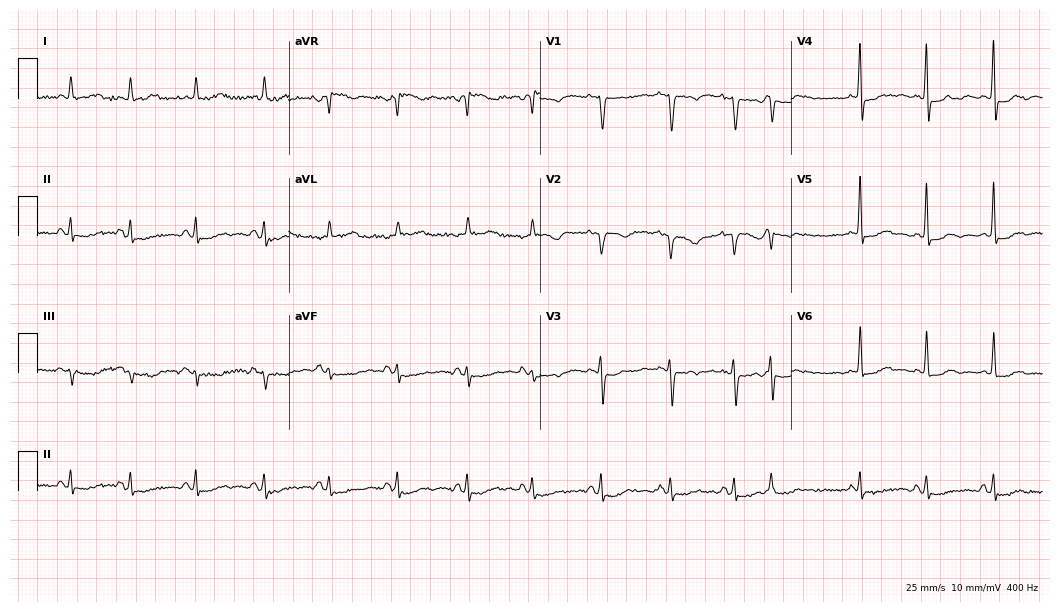
Electrocardiogram, an 81-year-old woman. Of the six screened findings (first-degree AV block, right bundle branch block, left bundle branch block, sinus bradycardia, atrial fibrillation, sinus tachycardia), none is recorded.